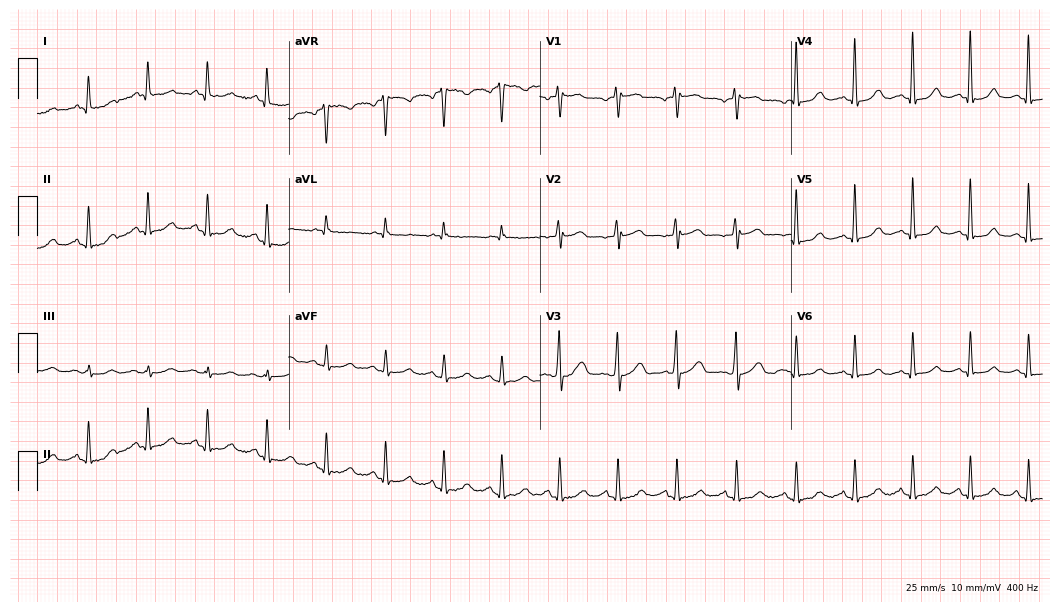
Electrocardiogram, a female patient, 58 years old. Interpretation includes sinus tachycardia (a sinus rate of 100 beats per minute or more).